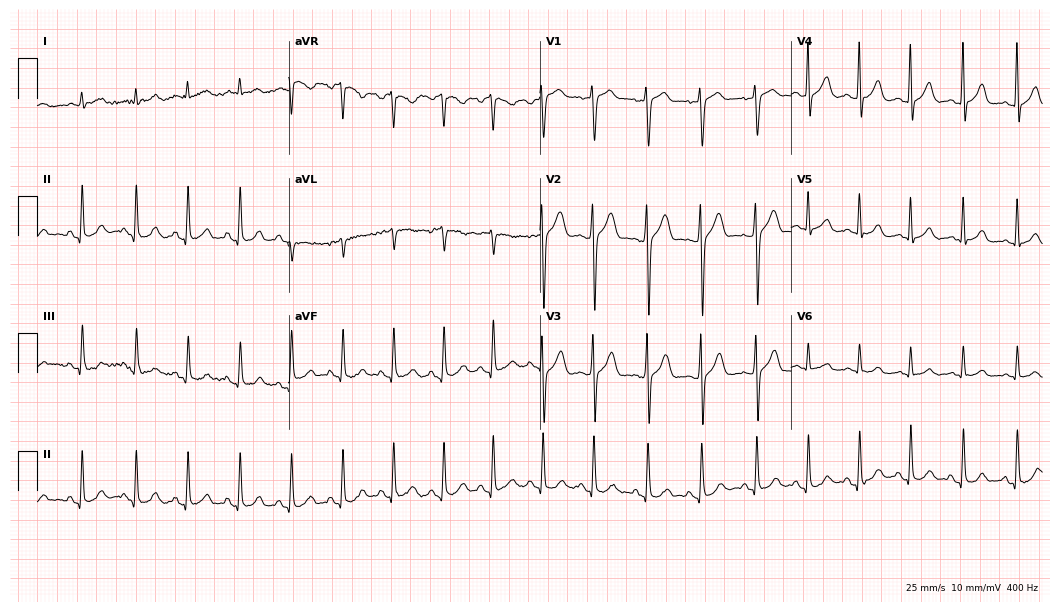
ECG (10.2-second recording at 400 Hz) — a man, 33 years old. Findings include sinus tachycardia (a sinus rate of 100 beats per minute or more).